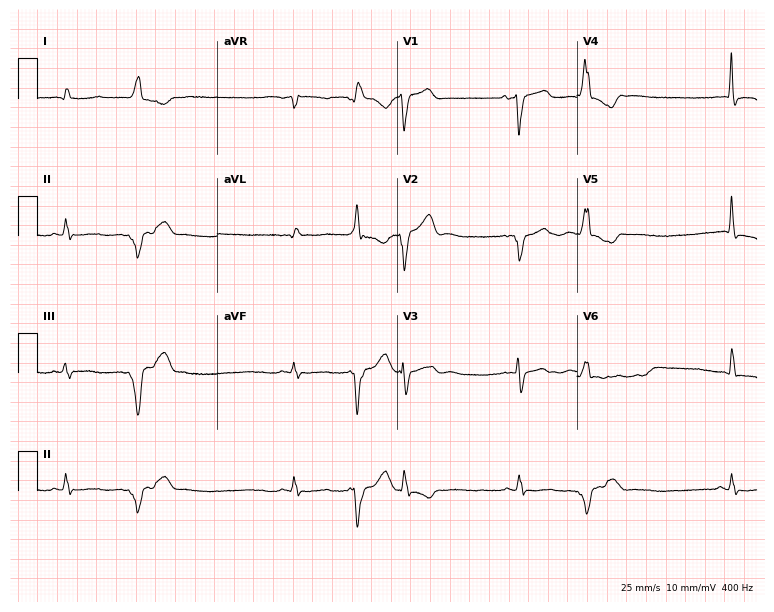
Electrocardiogram, an 81-year-old female patient. Of the six screened findings (first-degree AV block, right bundle branch block, left bundle branch block, sinus bradycardia, atrial fibrillation, sinus tachycardia), none is recorded.